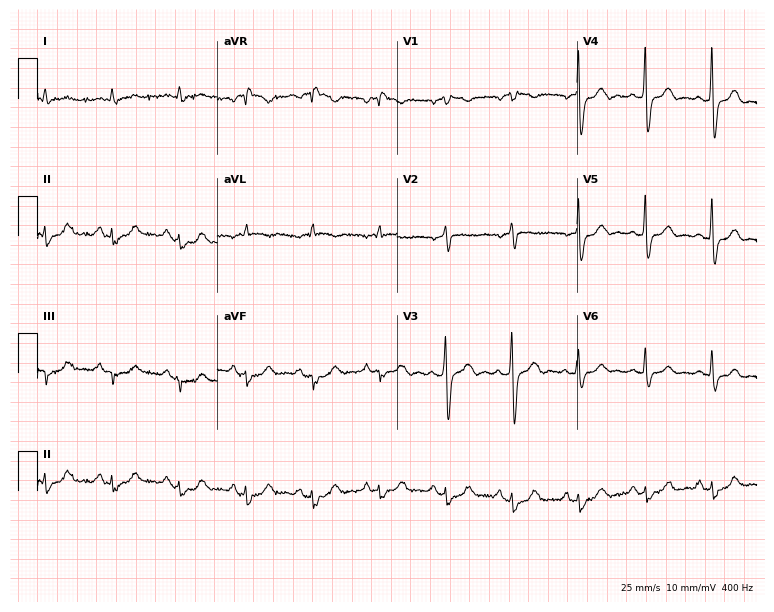
Electrocardiogram (7.3-second recording at 400 Hz), a male, 75 years old. Of the six screened findings (first-degree AV block, right bundle branch block, left bundle branch block, sinus bradycardia, atrial fibrillation, sinus tachycardia), none is recorded. Findings outside these six are not listed.